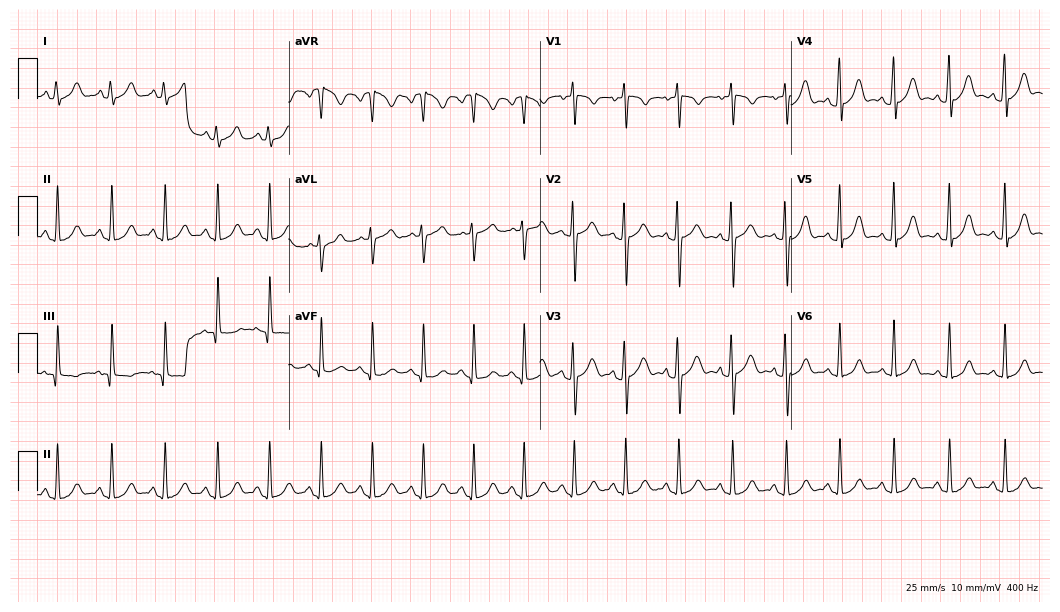
12-lead ECG (10.2-second recording at 400 Hz) from an 18-year-old female. Findings include sinus tachycardia (a sinus rate of 100 beats per minute or more).